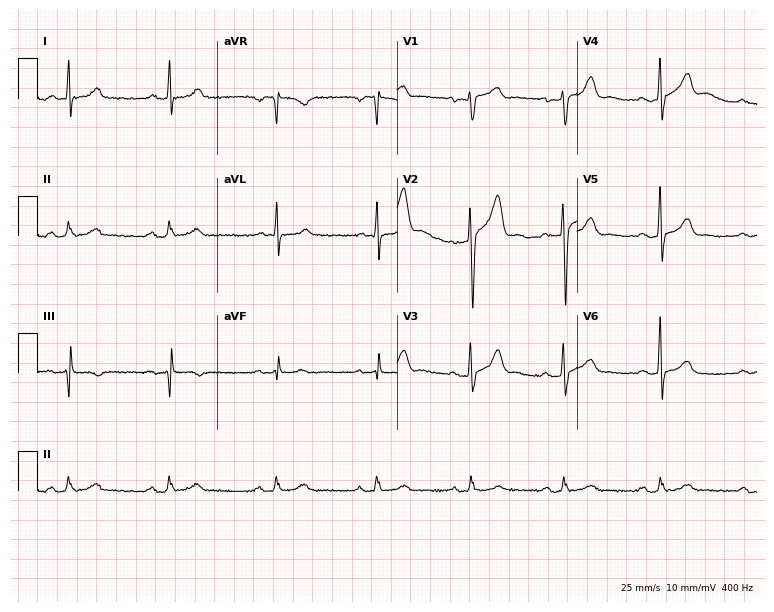
ECG (7.3-second recording at 400 Hz) — a male patient, 49 years old. Screened for six findings — first-degree AV block, right bundle branch block, left bundle branch block, sinus bradycardia, atrial fibrillation, sinus tachycardia — none is recorded.